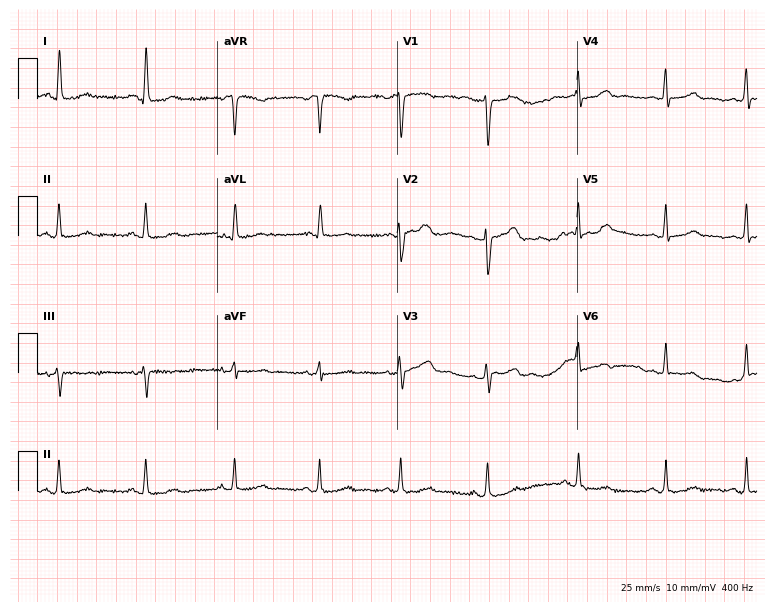
Electrocardiogram (7.3-second recording at 400 Hz), a 32-year-old female. Overall reading on record: normal ECG.